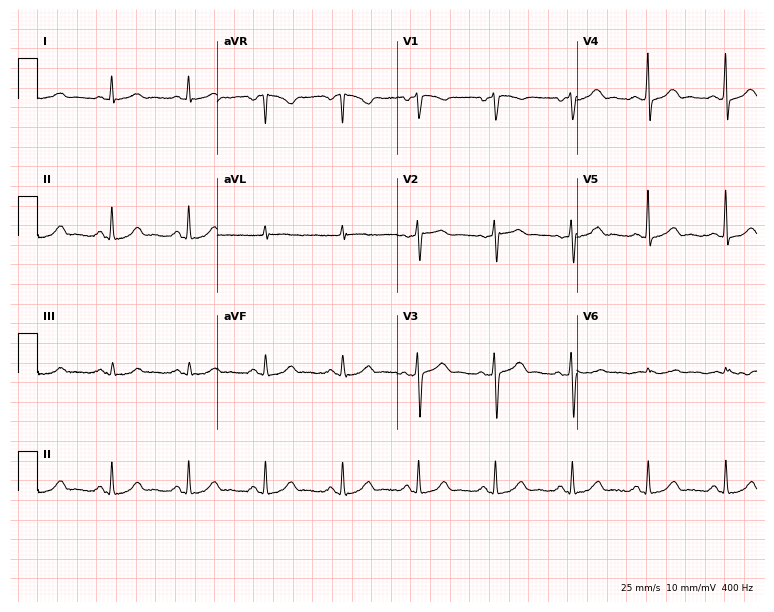
12-lead ECG from a 61-year-old male patient (7.3-second recording at 400 Hz). Recorded interpretation: within normal limits.